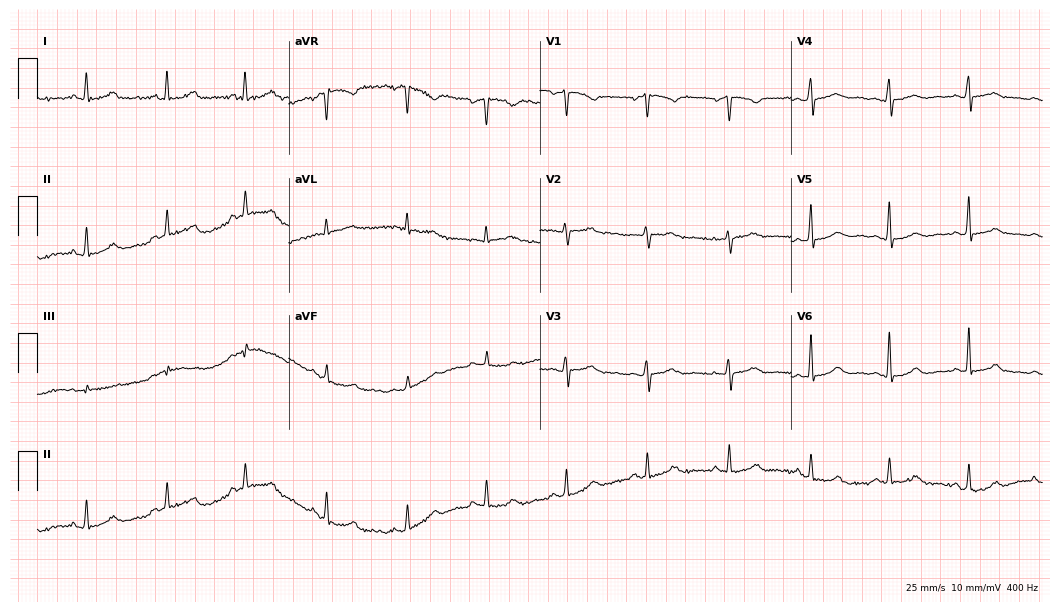
Electrocardiogram (10.2-second recording at 400 Hz), a 61-year-old woman. Overall reading on record: normal ECG.